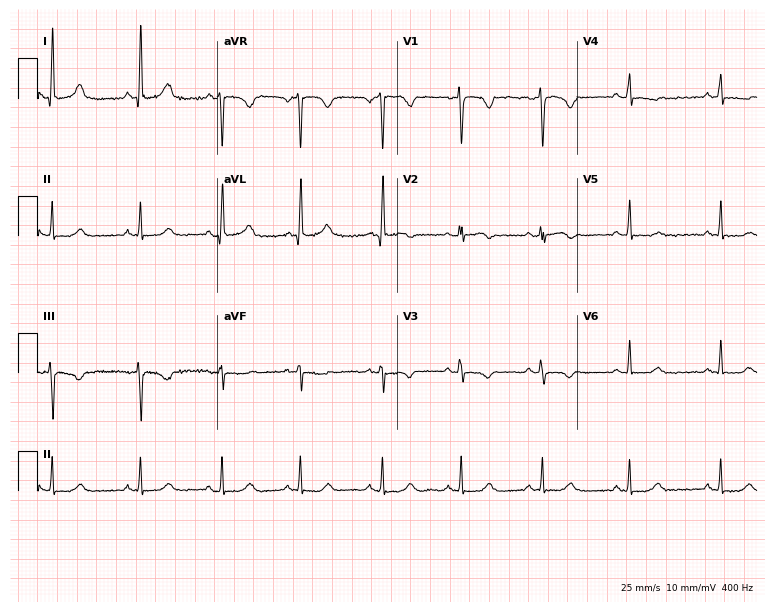
ECG (7.3-second recording at 400 Hz) — a 38-year-old female. Labelled as a normal ECG.